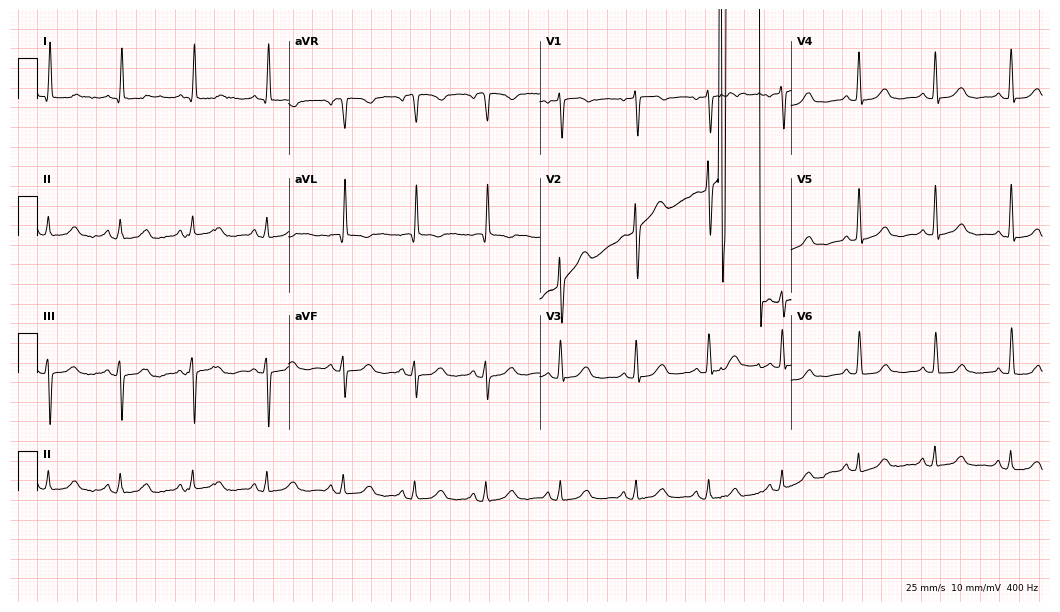
12-lead ECG from a 78-year-old female. No first-degree AV block, right bundle branch block (RBBB), left bundle branch block (LBBB), sinus bradycardia, atrial fibrillation (AF) or sinus tachycardia recorded for this tracing. Only these six findings were labelled.